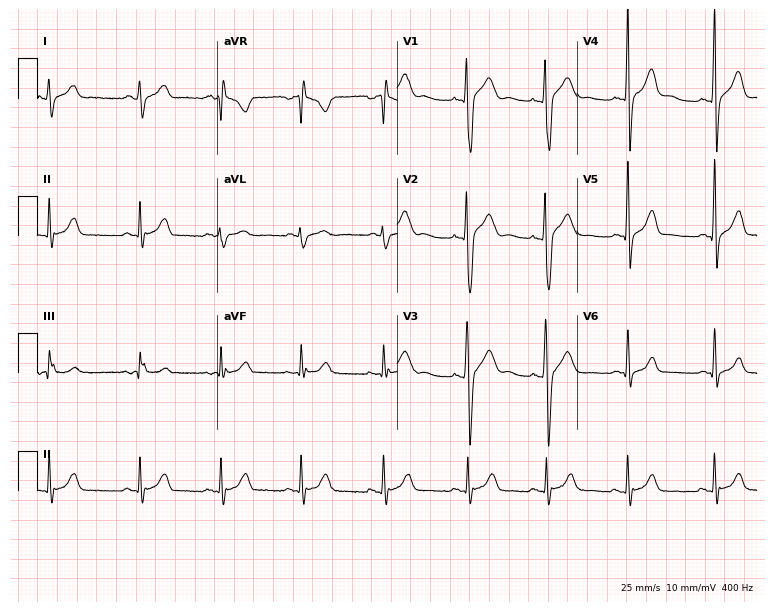
Resting 12-lead electrocardiogram (7.3-second recording at 400 Hz). Patient: a male, 18 years old. None of these six findings is recorded: first-degree AV block, right bundle branch block (RBBB), left bundle branch block (LBBB), sinus bradycardia, atrial fibrillation (AF), sinus tachycardia.